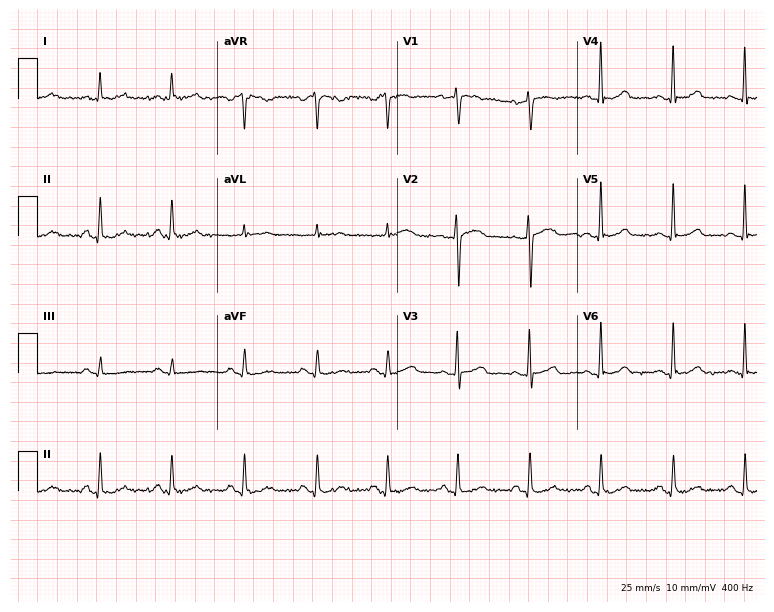
12-lead ECG from a woman, 48 years old. Screened for six findings — first-degree AV block, right bundle branch block, left bundle branch block, sinus bradycardia, atrial fibrillation, sinus tachycardia — none is recorded. Findings outside these six are not listed.